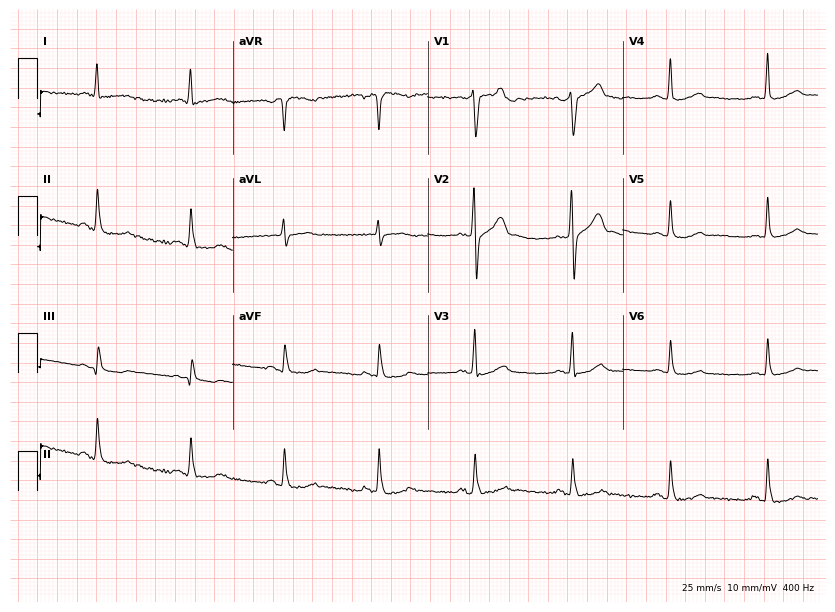
12-lead ECG from a man, 49 years old. No first-degree AV block, right bundle branch block (RBBB), left bundle branch block (LBBB), sinus bradycardia, atrial fibrillation (AF) or sinus tachycardia recorded for this tracing.